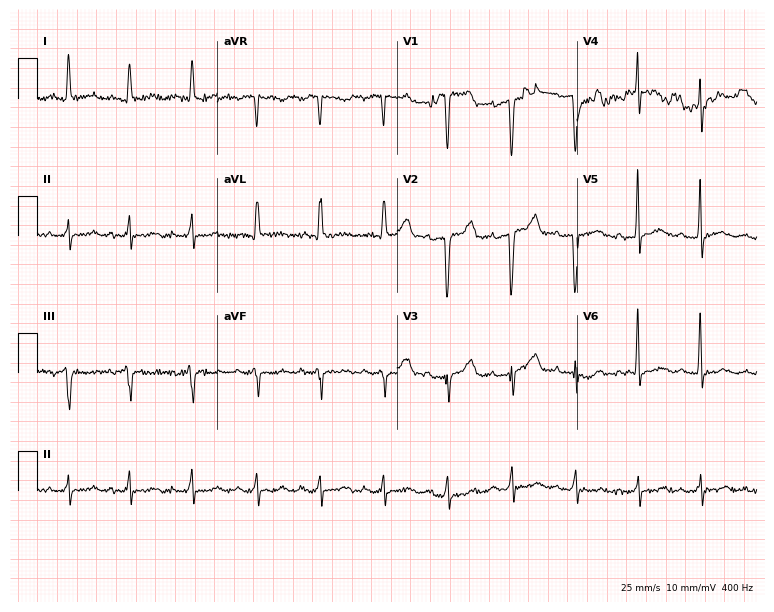
12-lead ECG from a woman, 47 years old. No first-degree AV block, right bundle branch block (RBBB), left bundle branch block (LBBB), sinus bradycardia, atrial fibrillation (AF) or sinus tachycardia recorded for this tracing. Findings outside these six are not listed.